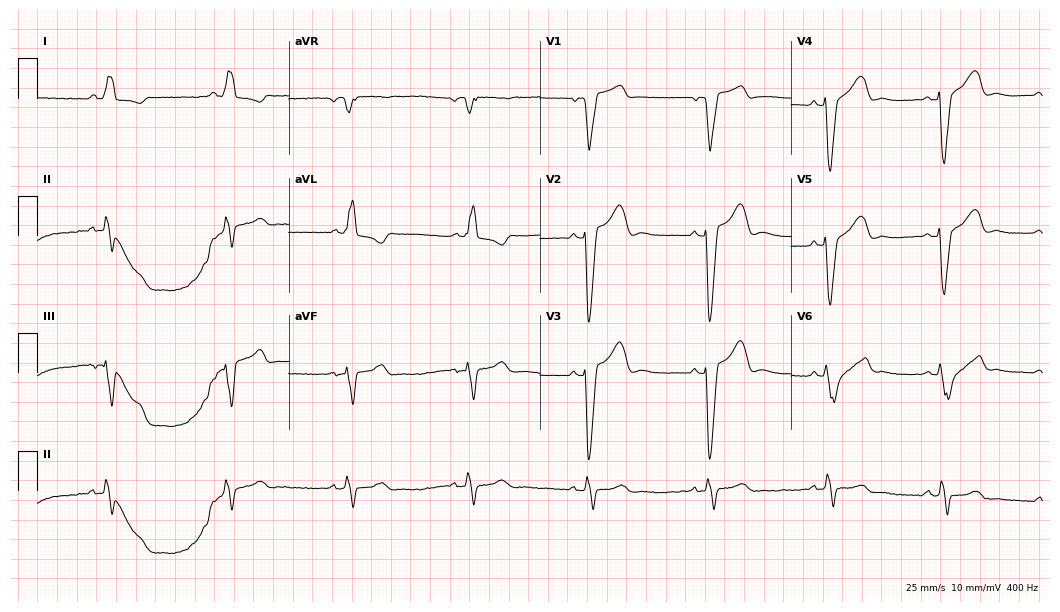
Standard 12-lead ECG recorded from a male, 74 years old (10.2-second recording at 400 Hz). The tracing shows left bundle branch block.